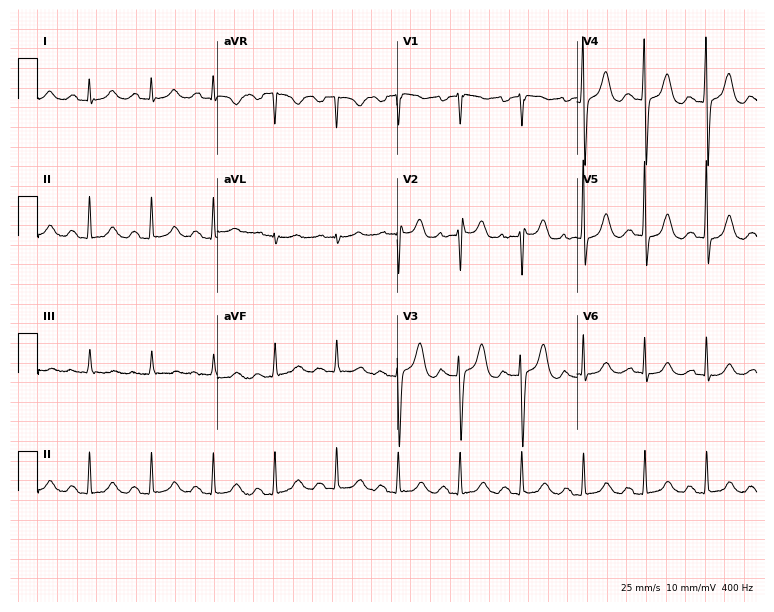
Standard 12-lead ECG recorded from a 75-year-old male (7.3-second recording at 400 Hz). Read as a normal ECG.